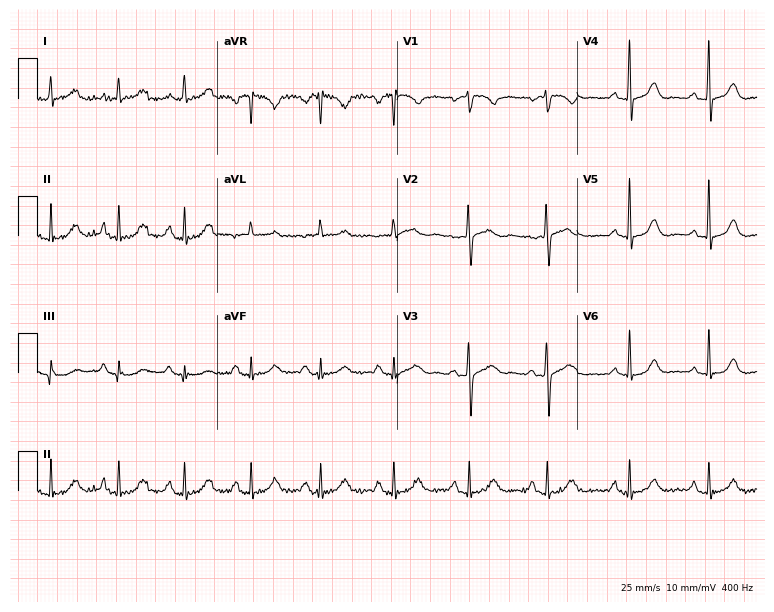
12-lead ECG from a woman, 62 years old. No first-degree AV block, right bundle branch block (RBBB), left bundle branch block (LBBB), sinus bradycardia, atrial fibrillation (AF) or sinus tachycardia recorded for this tracing. Findings outside these six are not listed.